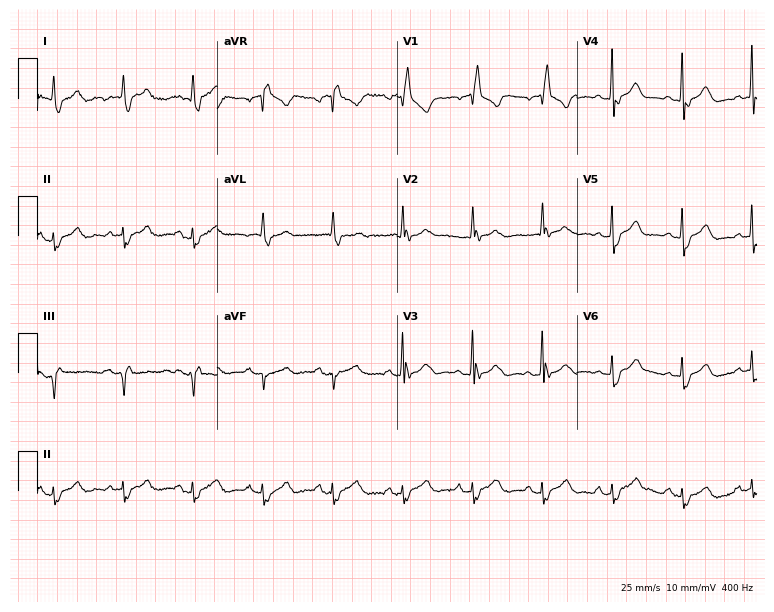
Electrocardiogram, a 61-year-old male patient. Interpretation includes right bundle branch block.